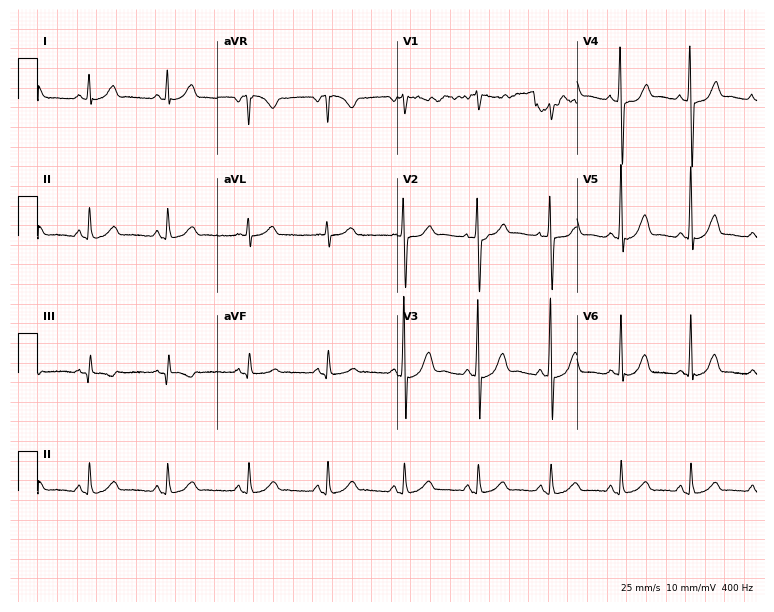
12-lead ECG from a woman, 37 years old. Recorded interpretation: within normal limits.